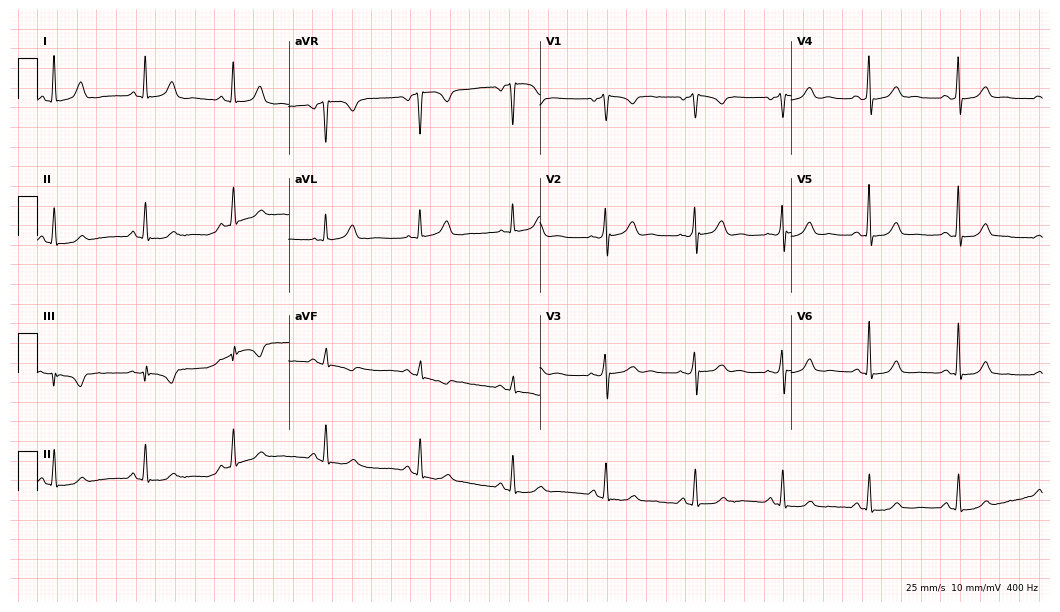
12-lead ECG from a woman, 49 years old. Recorded interpretation: within normal limits.